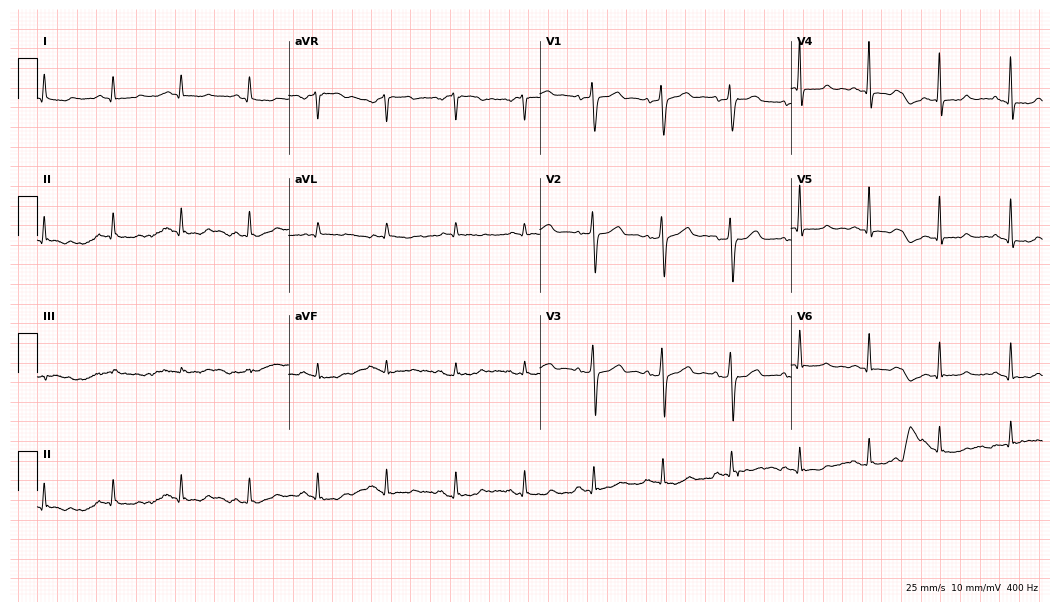
12-lead ECG from a man, 60 years old (10.2-second recording at 400 Hz). Recorded interpretation: within normal limits.